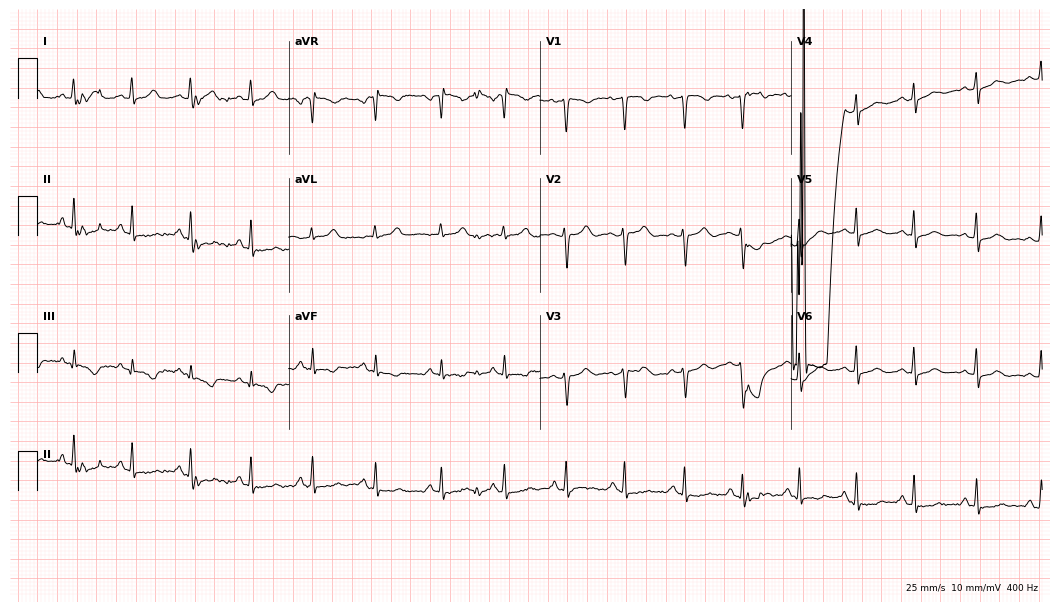
Standard 12-lead ECG recorded from a 22-year-old woman. None of these six findings is recorded: first-degree AV block, right bundle branch block (RBBB), left bundle branch block (LBBB), sinus bradycardia, atrial fibrillation (AF), sinus tachycardia. Only these six findings were labelled.